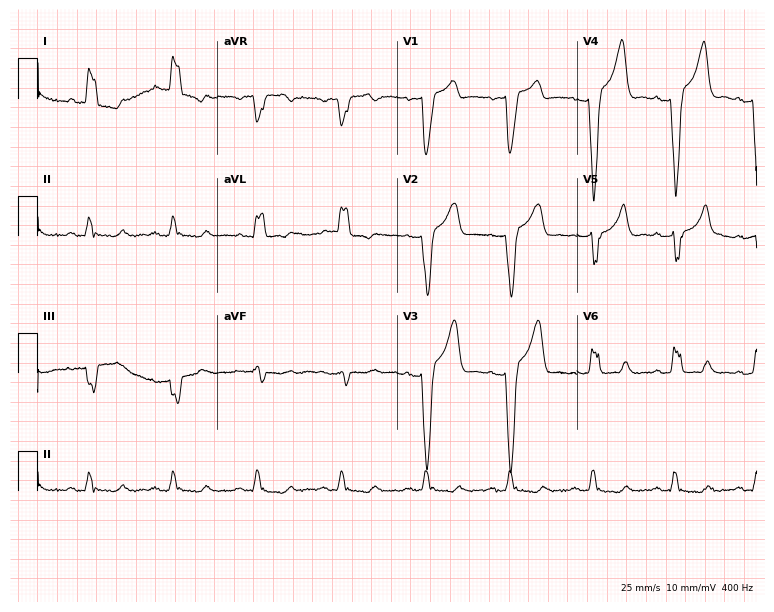
12-lead ECG from a 66-year-old man. Findings include left bundle branch block (LBBB).